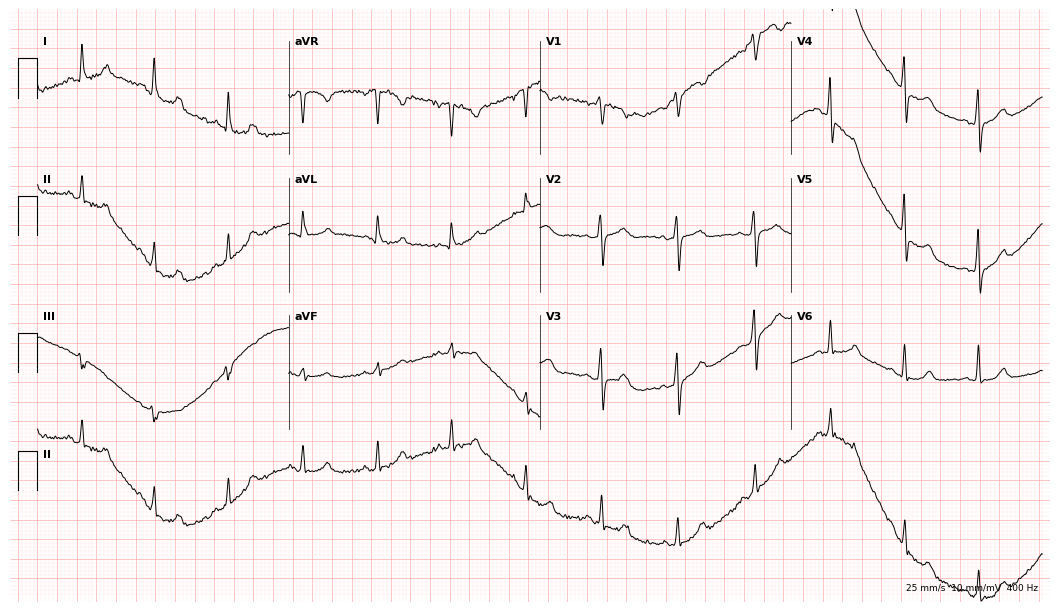
Electrocardiogram (10.2-second recording at 400 Hz), a 55-year-old female. Overall reading on record: normal ECG.